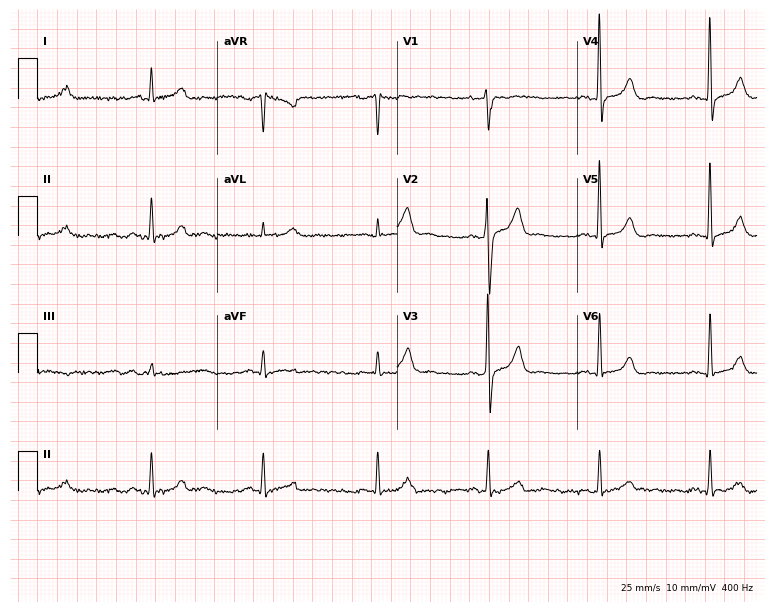
12-lead ECG from a male, 48 years old (7.3-second recording at 400 Hz). Recorded interpretation: within normal limits.